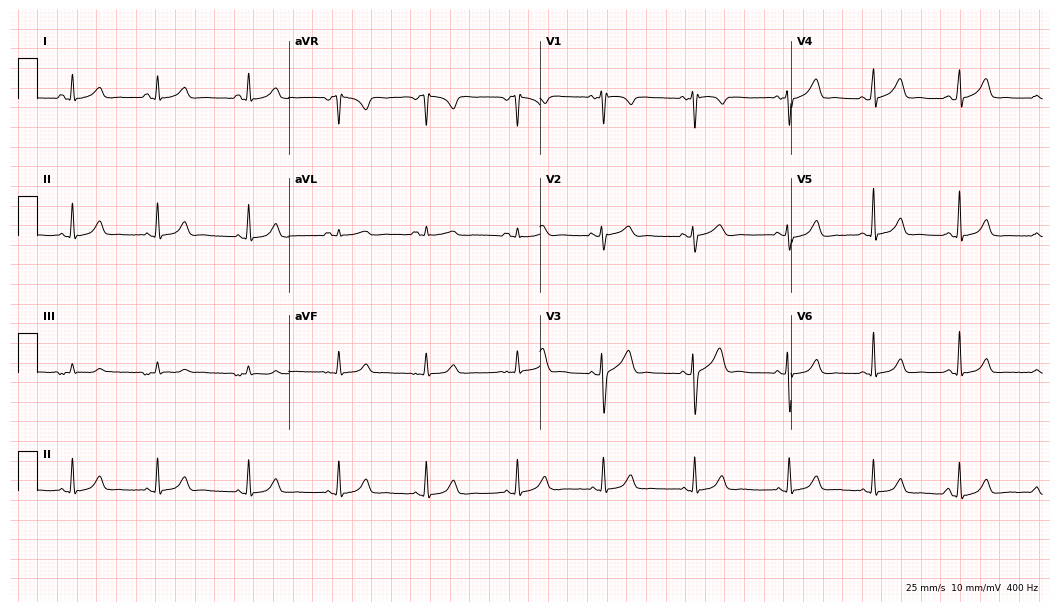
12-lead ECG (10.2-second recording at 400 Hz) from a 39-year-old female. Screened for six findings — first-degree AV block, right bundle branch block, left bundle branch block, sinus bradycardia, atrial fibrillation, sinus tachycardia — none is recorded.